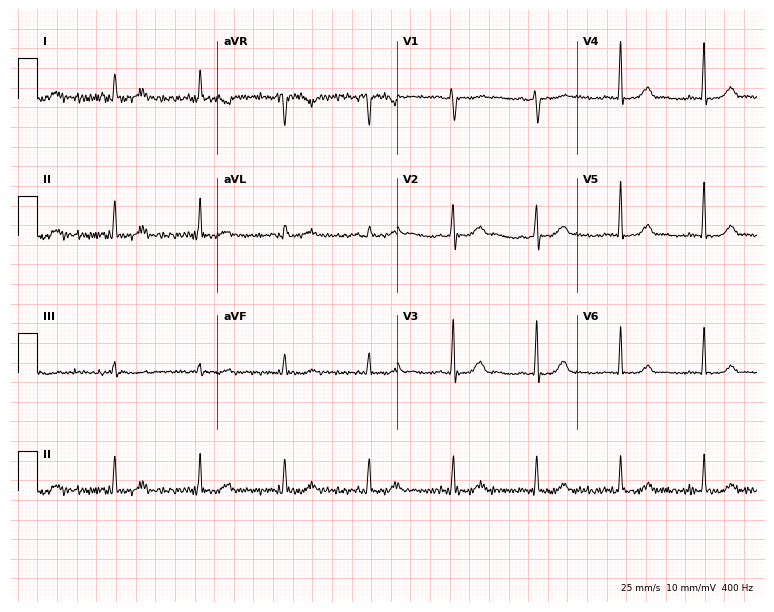
Electrocardiogram, a female patient, 67 years old. Of the six screened findings (first-degree AV block, right bundle branch block, left bundle branch block, sinus bradycardia, atrial fibrillation, sinus tachycardia), none is recorded. Findings outside these six are not listed.